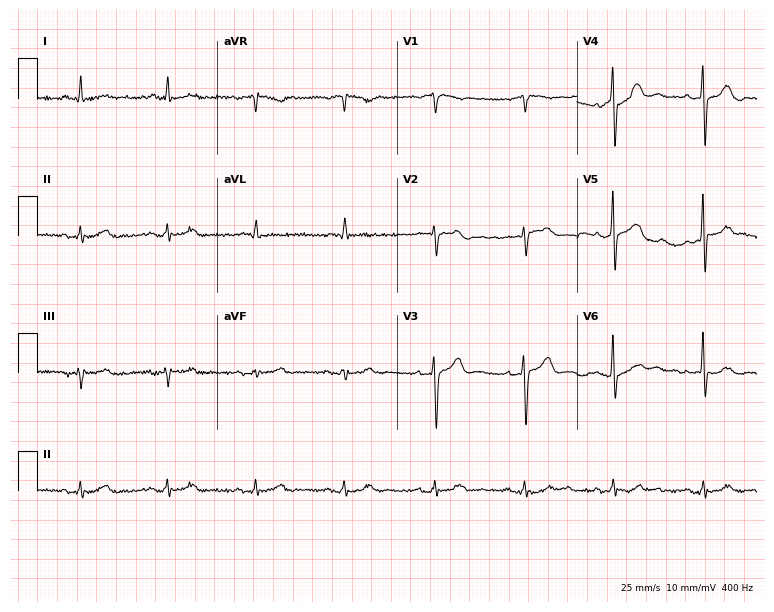
Resting 12-lead electrocardiogram. Patient: a man, 70 years old. Read as a normal ECG.